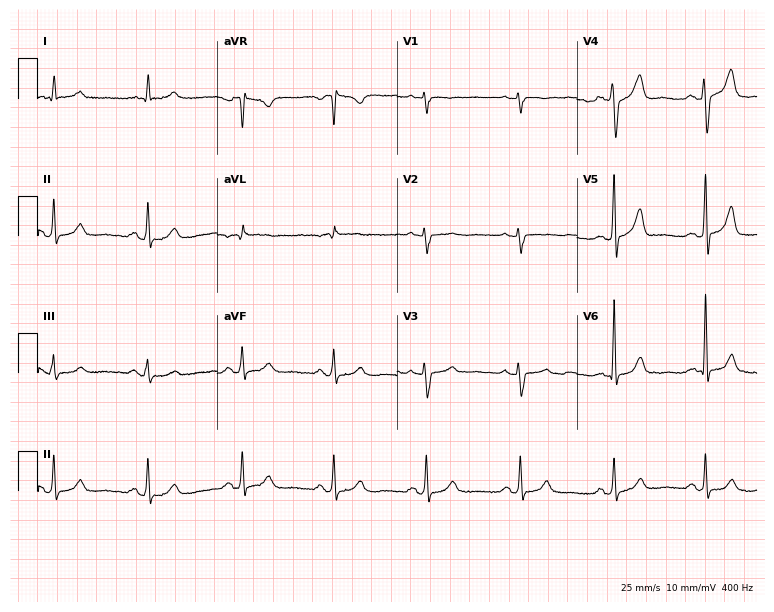
12-lead ECG from a male, 77 years old (7.3-second recording at 400 Hz). Recorded interpretation: within normal limits.